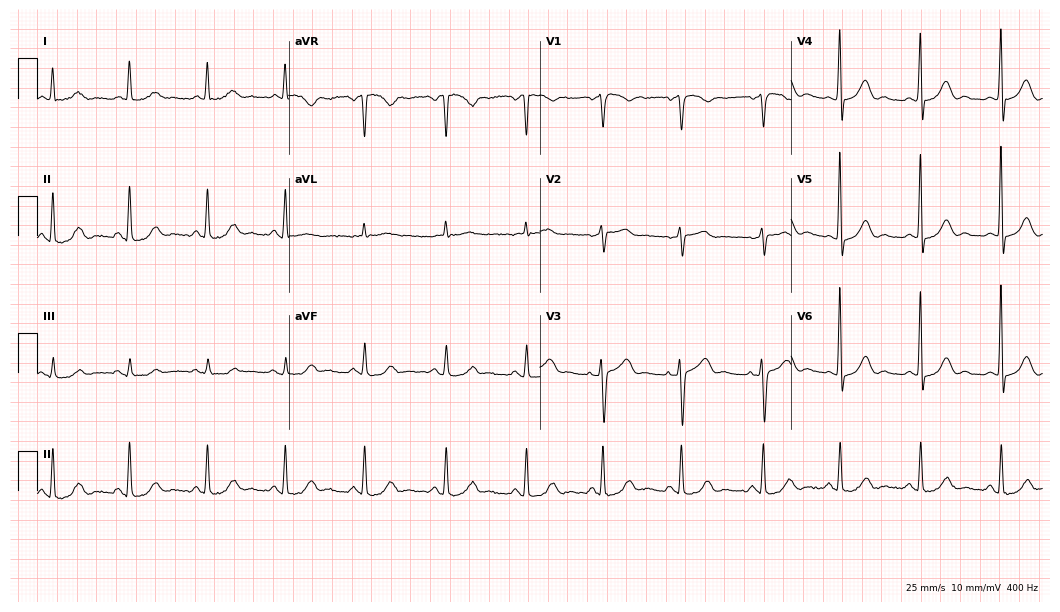
Electrocardiogram (10.2-second recording at 400 Hz), a 73-year-old woman. Overall reading on record: normal ECG.